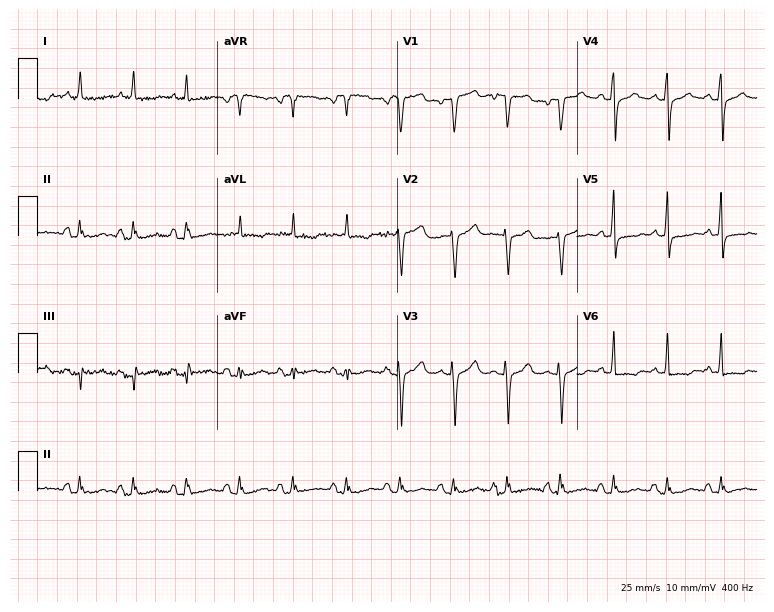
Electrocardiogram, a 67-year-old female. Interpretation includes sinus tachycardia (a sinus rate of 100 beats per minute or more).